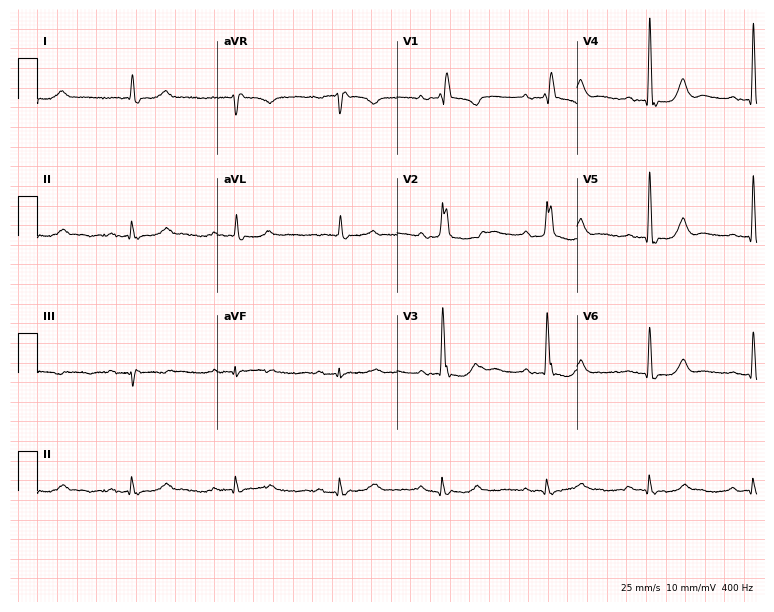
Standard 12-lead ECG recorded from a female patient, 63 years old (7.3-second recording at 400 Hz). None of these six findings is recorded: first-degree AV block, right bundle branch block (RBBB), left bundle branch block (LBBB), sinus bradycardia, atrial fibrillation (AF), sinus tachycardia.